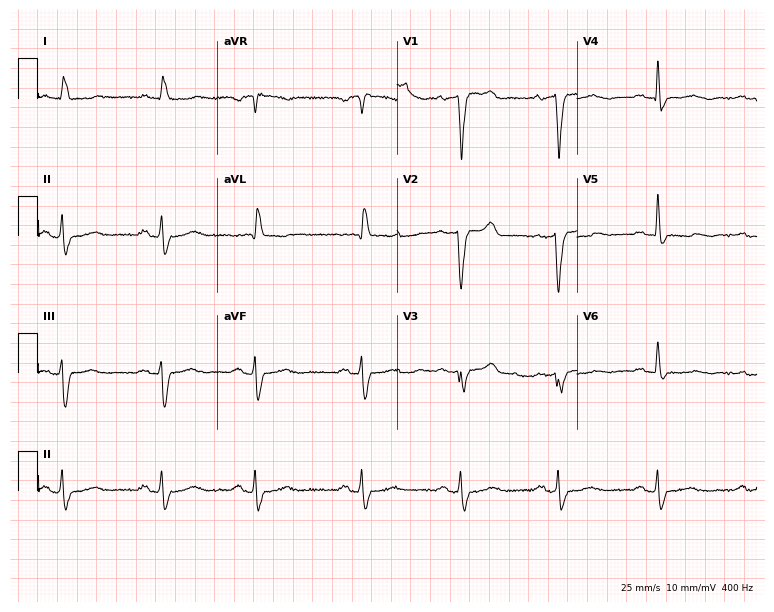
12-lead ECG from an 80-year-old man. Screened for six findings — first-degree AV block, right bundle branch block, left bundle branch block, sinus bradycardia, atrial fibrillation, sinus tachycardia — none is recorded.